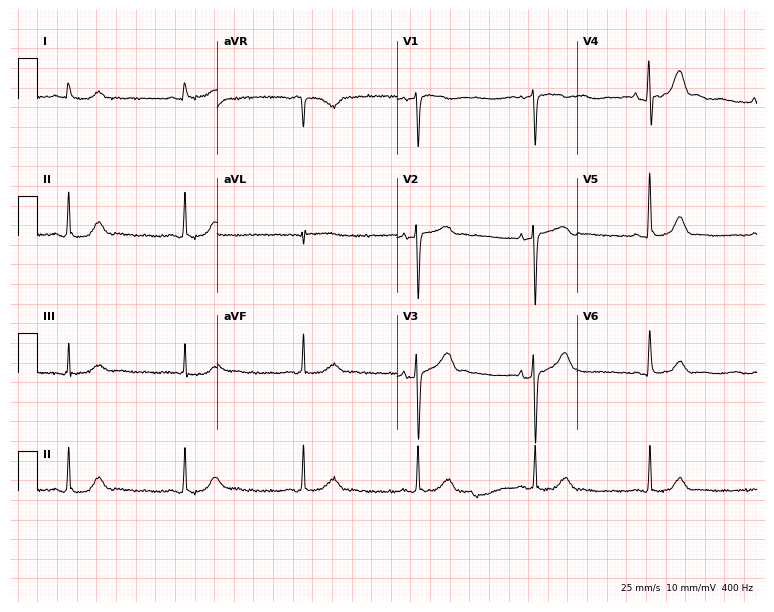
Resting 12-lead electrocardiogram. Patient: a woman, 66 years old. None of these six findings is recorded: first-degree AV block, right bundle branch block, left bundle branch block, sinus bradycardia, atrial fibrillation, sinus tachycardia.